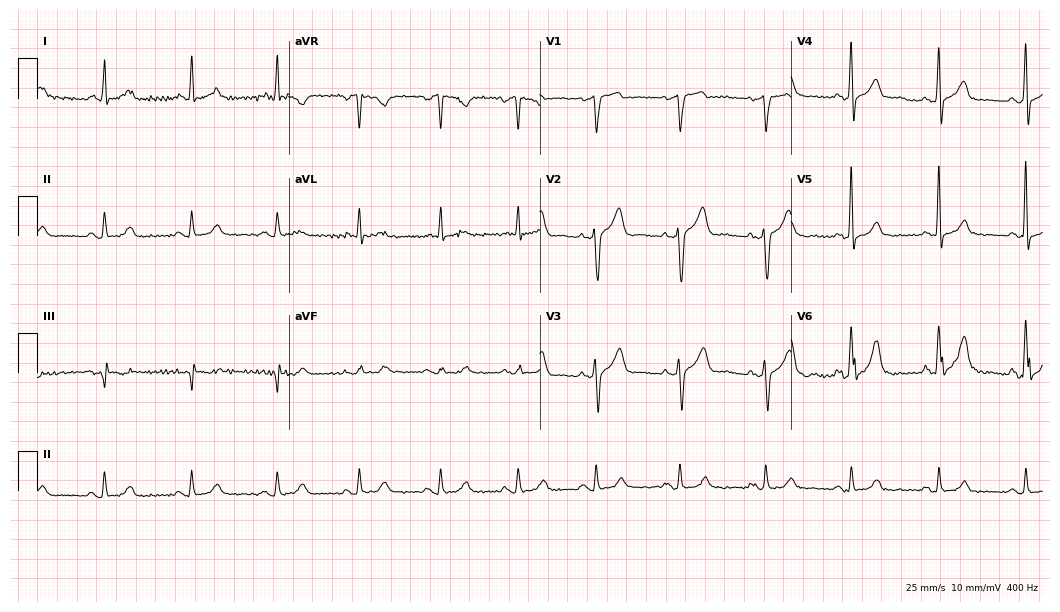
Resting 12-lead electrocardiogram. Patient: a male, 56 years old. Read as a normal ECG.